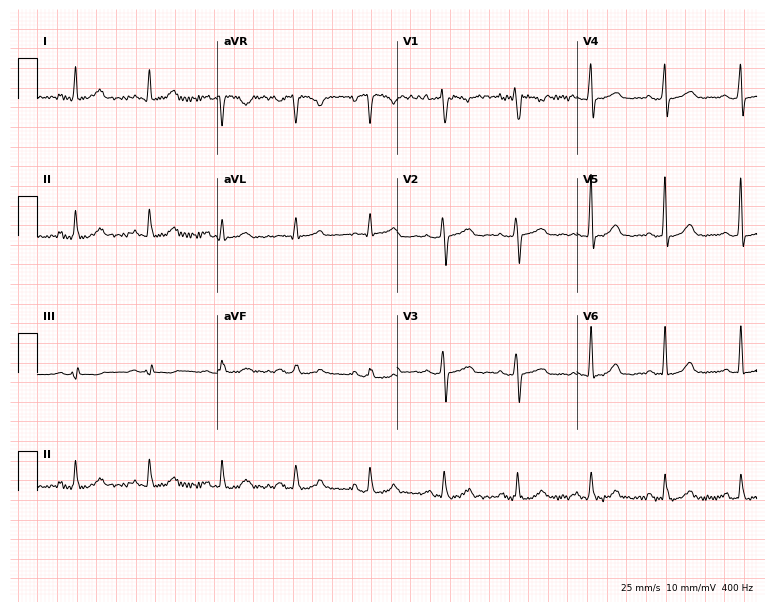
12-lead ECG from a female patient, 44 years old. Screened for six findings — first-degree AV block, right bundle branch block (RBBB), left bundle branch block (LBBB), sinus bradycardia, atrial fibrillation (AF), sinus tachycardia — none is recorded.